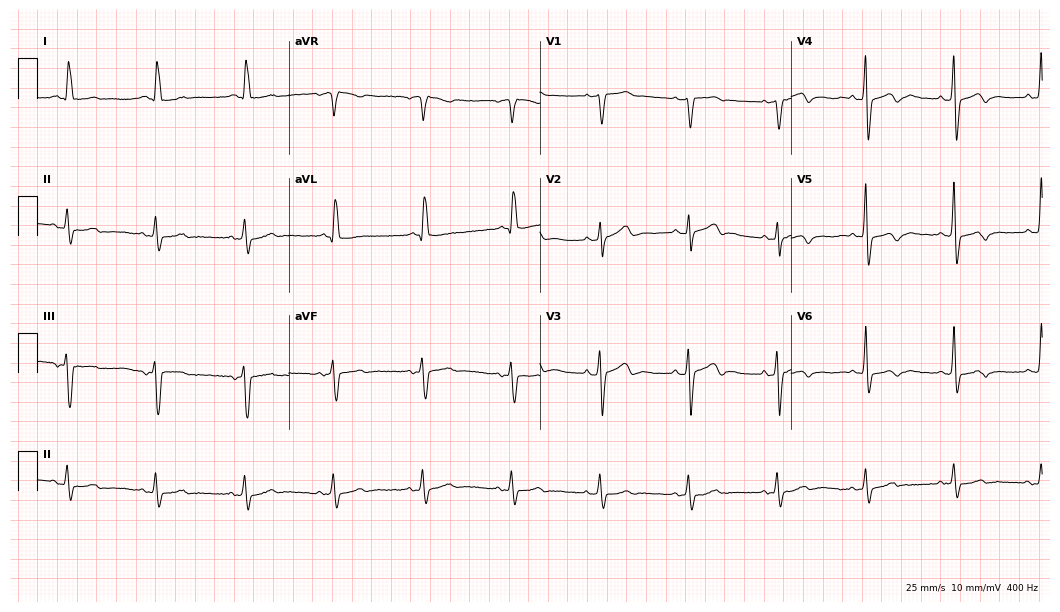
12-lead ECG from an 82-year-old male patient. No first-degree AV block, right bundle branch block, left bundle branch block, sinus bradycardia, atrial fibrillation or sinus tachycardia recorded for this tracing. Findings outside these six are not listed.